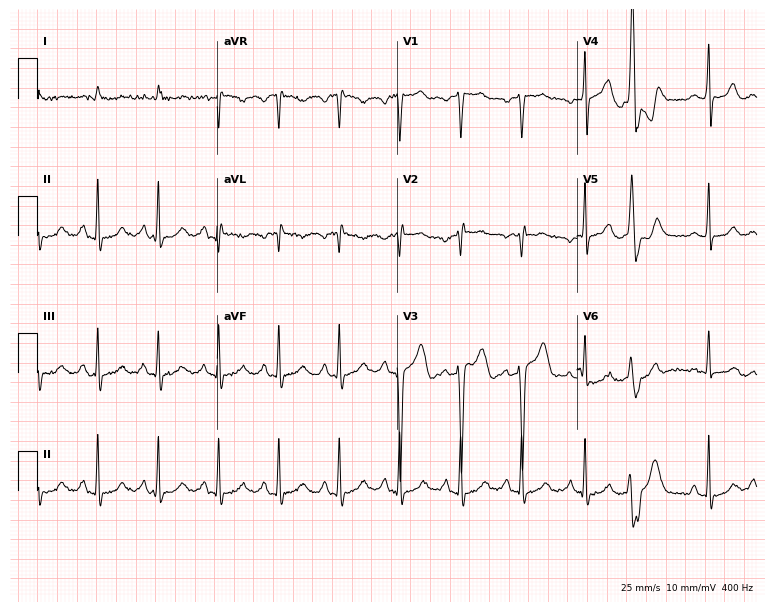
12-lead ECG (7.3-second recording at 400 Hz) from a 79-year-old male patient. Screened for six findings — first-degree AV block, right bundle branch block, left bundle branch block, sinus bradycardia, atrial fibrillation, sinus tachycardia — none is recorded.